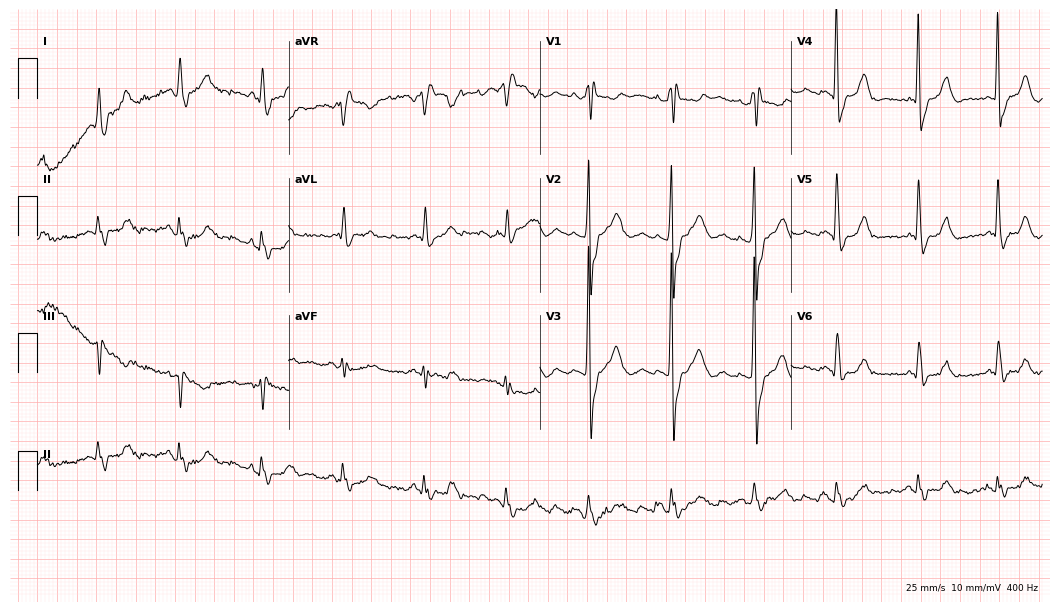
12-lead ECG from an 83-year-old male. Screened for six findings — first-degree AV block, right bundle branch block (RBBB), left bundle branch block (LBBB), sinus bradycardia, atrial fibrillation (AF), sinus tachycardia — none is recorded. Only these six findings were labelled.